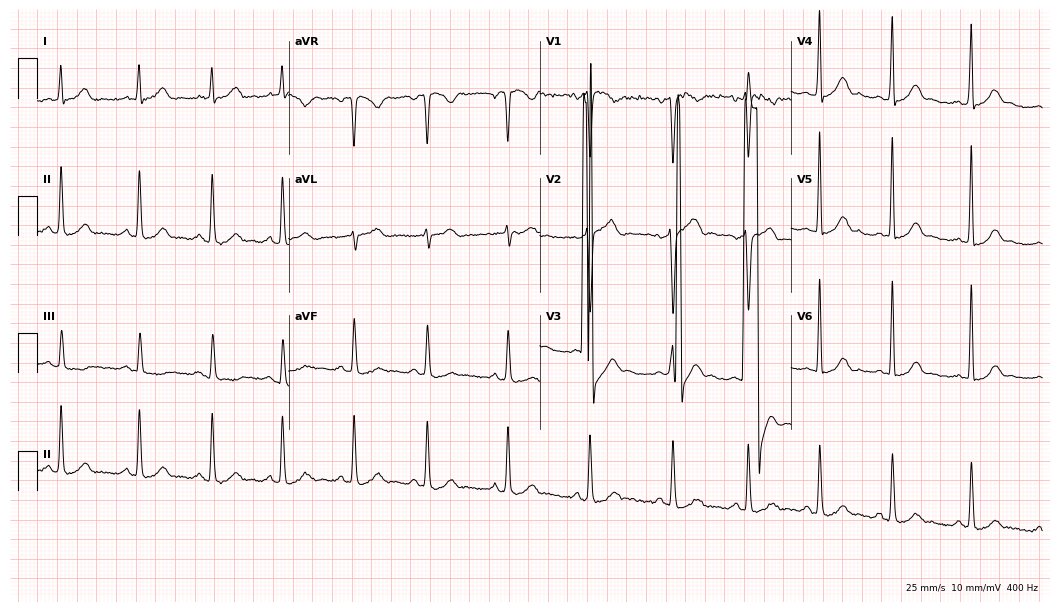
Electrocardiogram (10.2-second recording at 400 Hz), a 29-year-old male. Of the six screened findings (first-degree AV block, right bundle branch block (RBBB), left bundle branch block (LBBB), sinus bradycardia, atrial fibrillation (AF), sinus tachycardia), none is recorded.